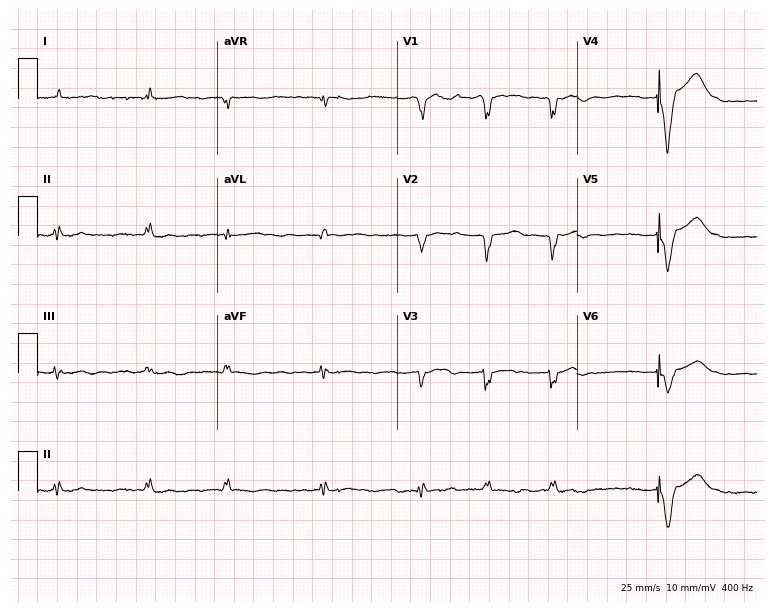
Electrocardiogram (7.3-second recording at 400 Hz), a woman, 69 years old. Of the six screened findings (first-degree AV block, right bundle branch block, left bundle branch block, sinus bradycardia, atrial fibrillation, sinus tachycardia), none is recorded. Only these six findings were labelled.